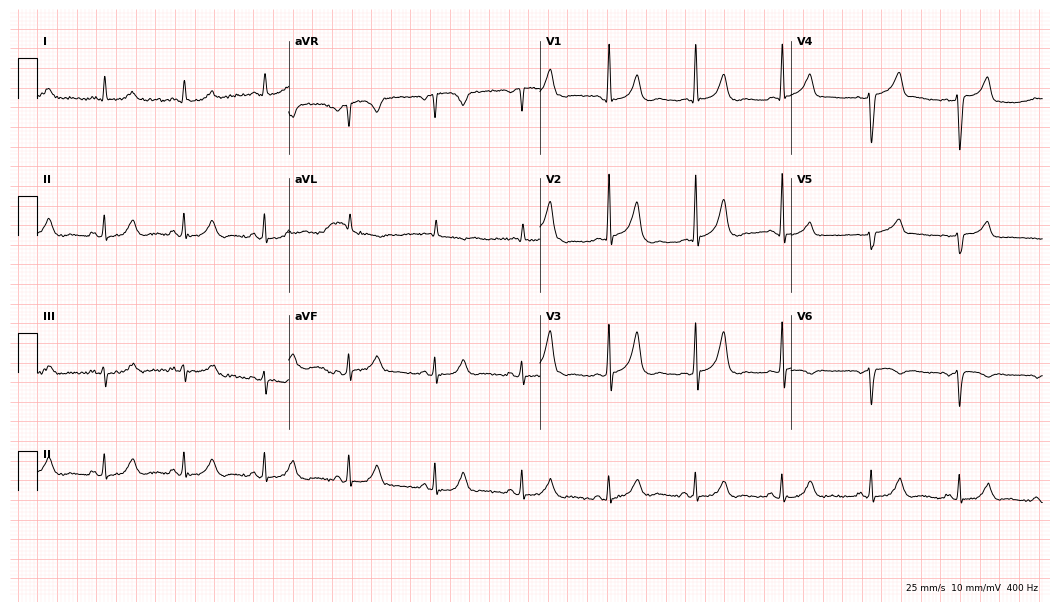
12-lead ECG (10.2-second recording at 400 Hz) from a female, 60 years old. Screened for six findings — first-degree AV block, right bundle branch block, left bundle branch block, sinus bradycardia, atrial fibrillation, sinus tachycardia — none is recorded.